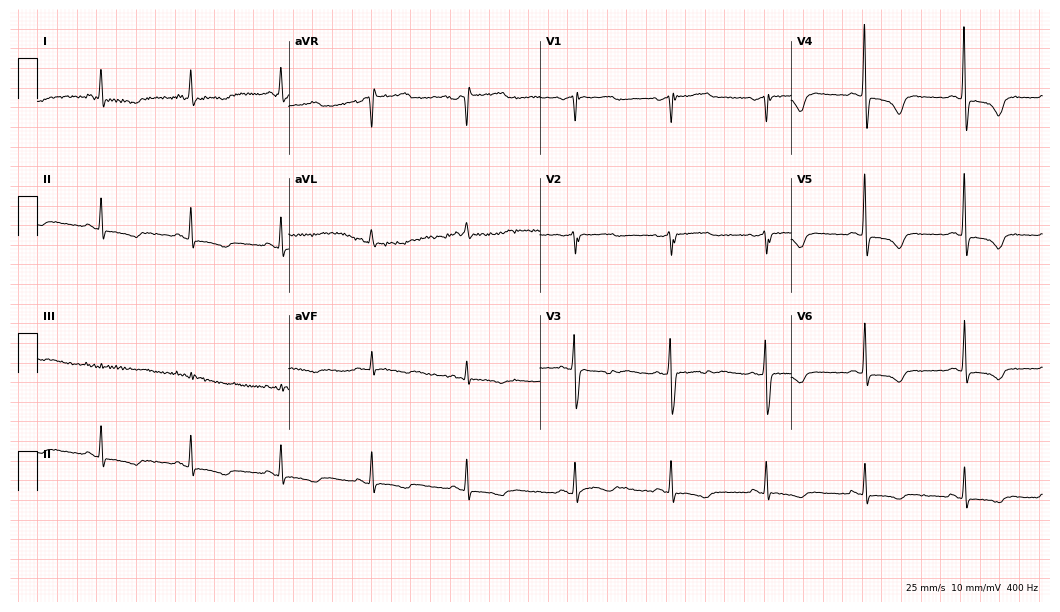
Resting 12-lead electrocardiogram (10.2-second recording at 400 Hz). Patient: a male, 65 years old. None of these six findings is recorded: first-degree AV block, right bundle branch block, left bundle branch block, sinus bradycardia, atrial fibrillation, sinus tachycardia. Findings outside these six are not listed.